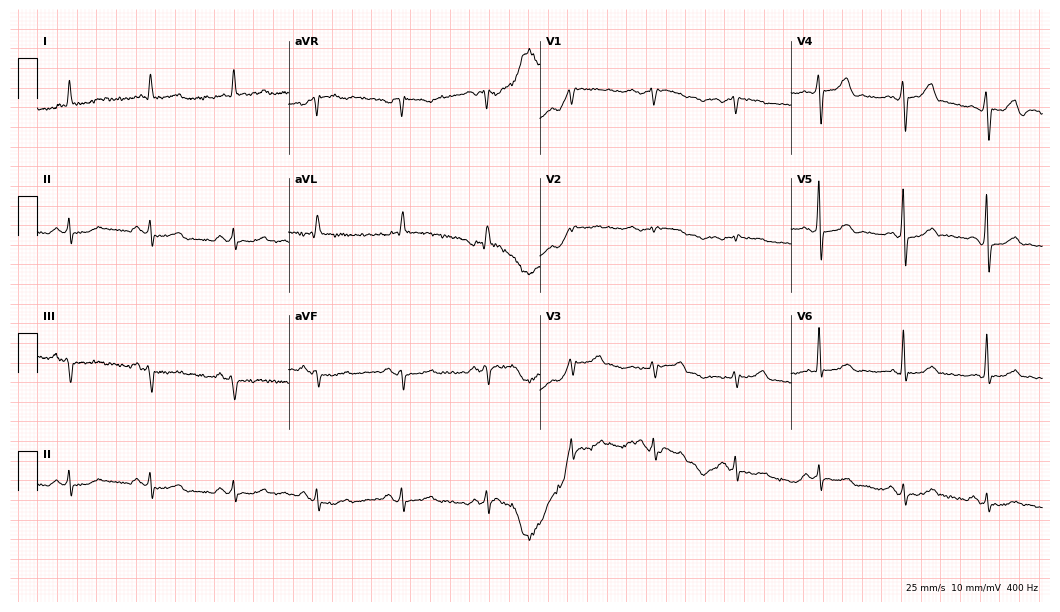
ECG — a male patient, 69 years old. Labelled as a normal ECG.